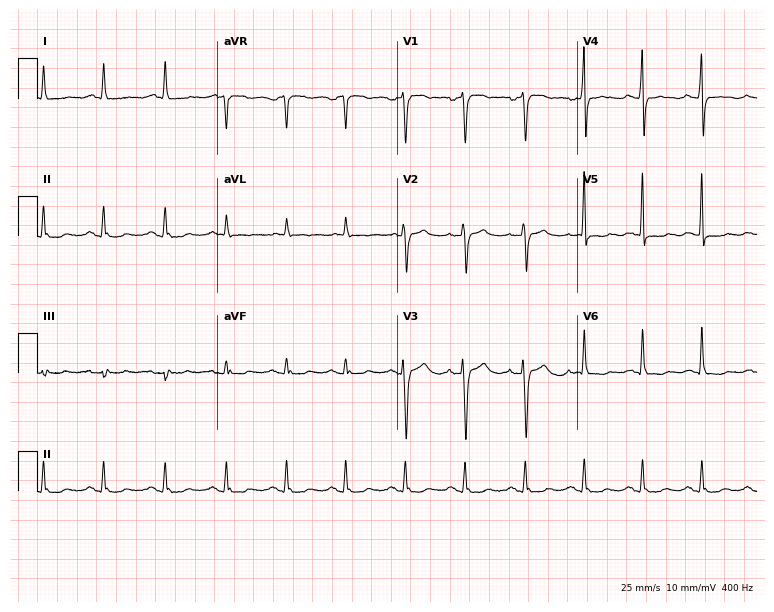
Electrocardiogram, a woman, 48 years old. Of the six screened findings (first-degree AV block, right bundle branch block (RBBB), left bundle branch block (LBBB), sinus bradycardia, atrial fibrillation (AF), sinus tachycardia), none is recorded.